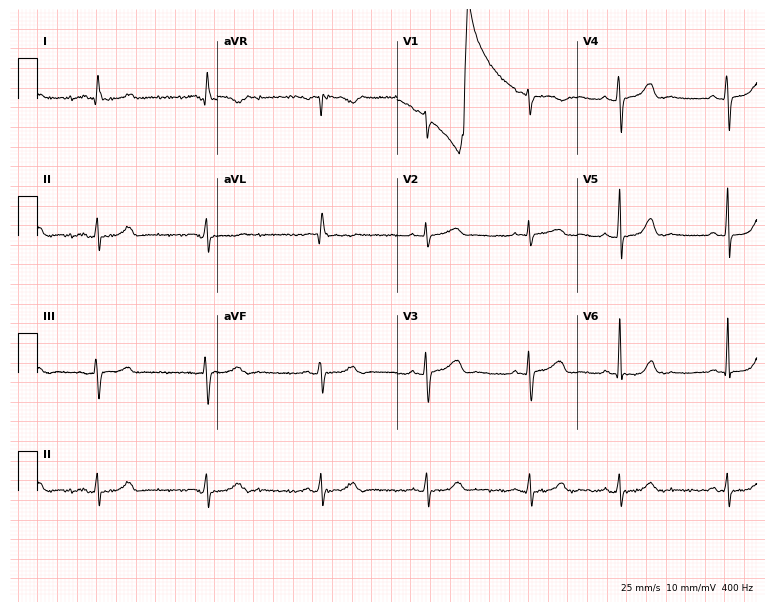
Resting 12-lead electrocardiogram. Patient: a 70-year-old female. None of these six findings is recorded: first-degree AV block, right bundle branch block, left bundle branch block, sinus bradycardia, atrial fibrillation, sinus tachycardia. Findings outside these six are not listed.